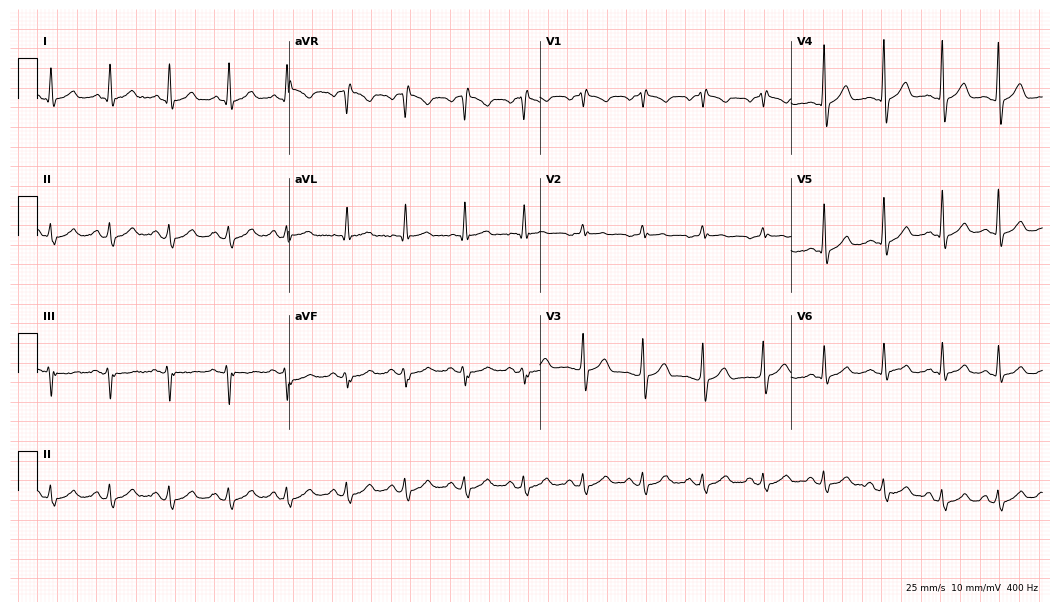
Electrocardiogram, a female, 45 years old. Of the six screened findings (first-degree AV block, right bundle branch block, left bundle branch block, sinus bradycardia, atrial fibrillation, sinus tachycardia), none is recorded.